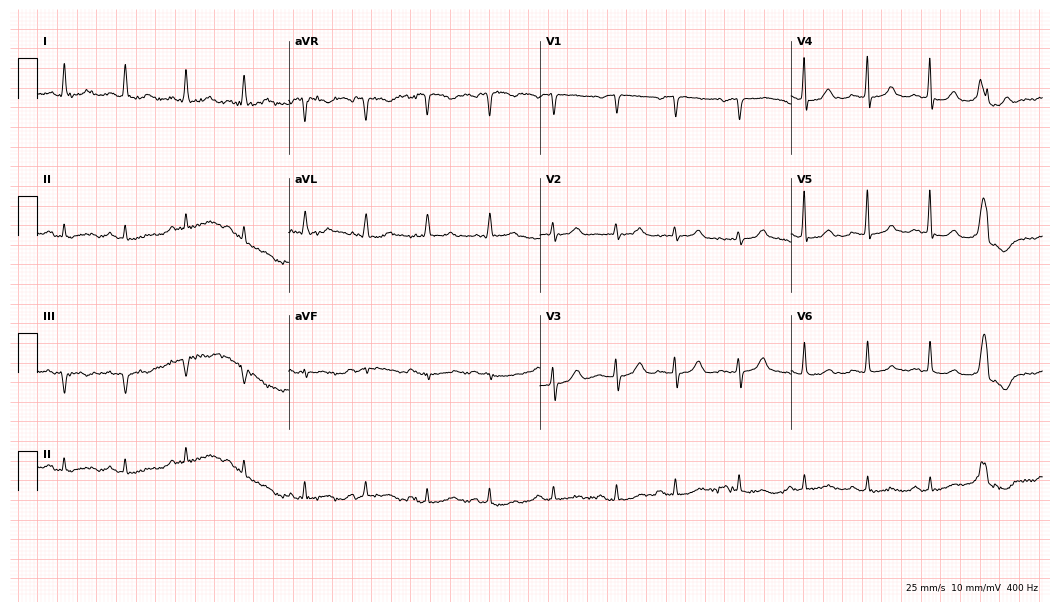
12-lead ECG from a female, 84 years old (10.2-second recording at 400 Hz). No first-degree AV block, right bundle branch block (RBBB), left bundle branch block (LBBB), sinus bradycardia, atrial fibrillation (AF) or sinus tachycardia recorded for this tracing. Findings outside these six are not listed.